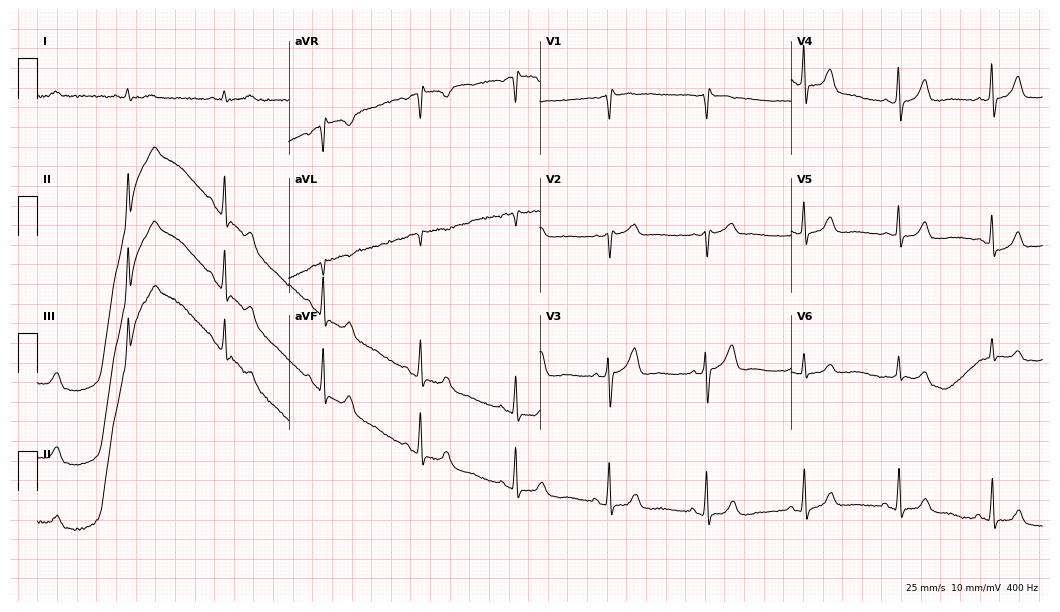
Resting 12-lead electrocardiogram (10.2-second recording at 400 Hz). Patient: an 84-year-old male. None of these six findings is recorded: first-degree AV block, right bundle branch block (RBBB), left bundle branch block (LBBB), sinus bradycardia, atrial fibrillation (AF), sinus tachycardia. Findings outside these six are not listed.